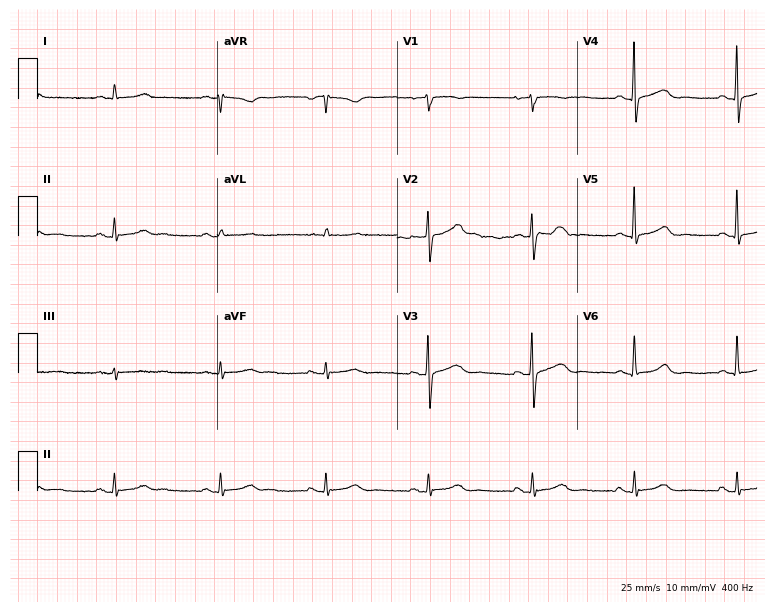
ECG — a female patient, 68 years old. Screened for six findings — first-degree AV block, right bundle branch block, left bundle branch block, sinus bradycardia, atrial fibrillation, sinus tachycardia — none is recorded.